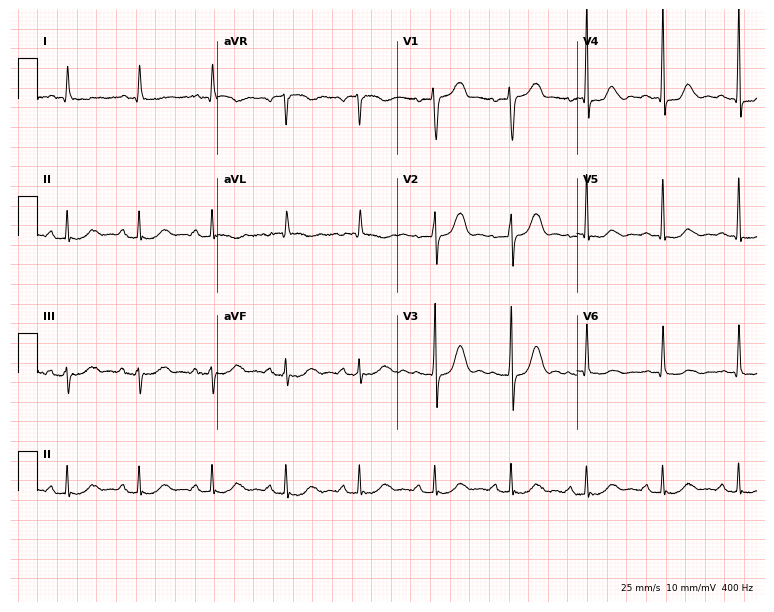
ECG — a female, 79 years old. Screened for six findings — first-degree AV block, right bundle branch block (RBBB), left bundle branch block (LBBB), sinus bradycardia, atrial fibrillation (AF), sinus tachycardia — none is recorded. Other findings, if any, are not listed.